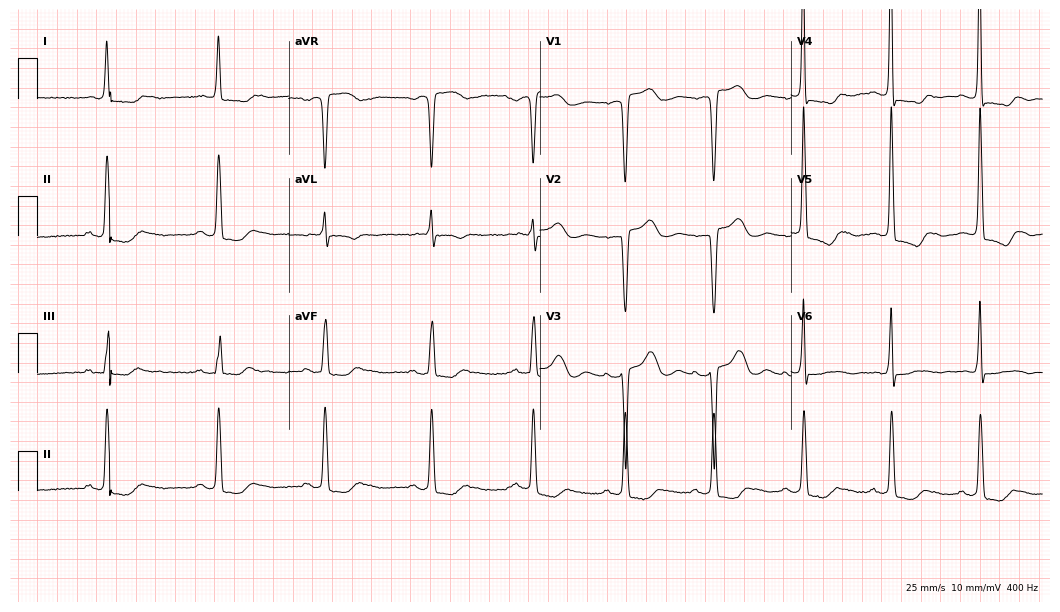
12-lead ECG from a female patient, 82 years old. No first-degree AV block, right bundle branch block (RBBB), left bundle branch block (LBBB), sinus bradycardia, atrial fibrillation (AF) or sinus tachycardia recorded for this tracing.